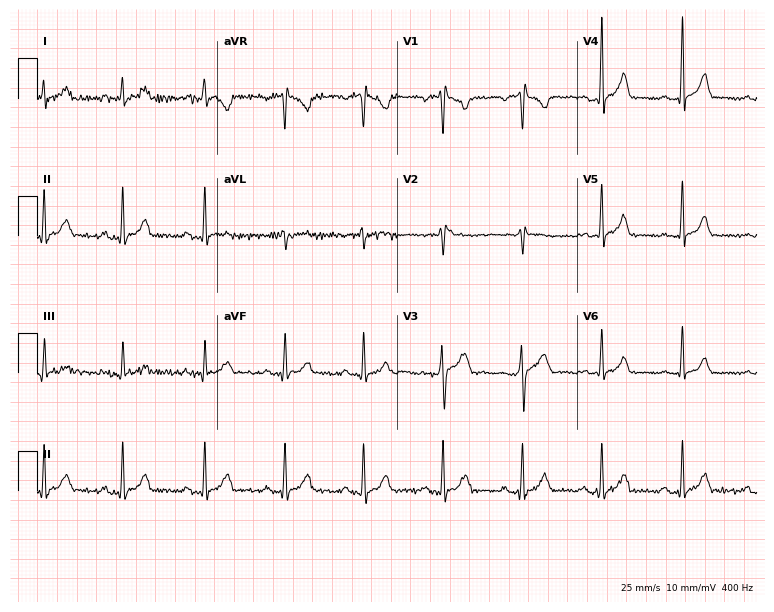
Standard 12-lead ECG recorded from a 25-year-old male. None of these six findings is recorded: first-degree AV block, right bundle branch block, left bundle branch block, sinus bradycardia, atrial fibrillation, sinus tachycardia. Only these six findings were labelled.